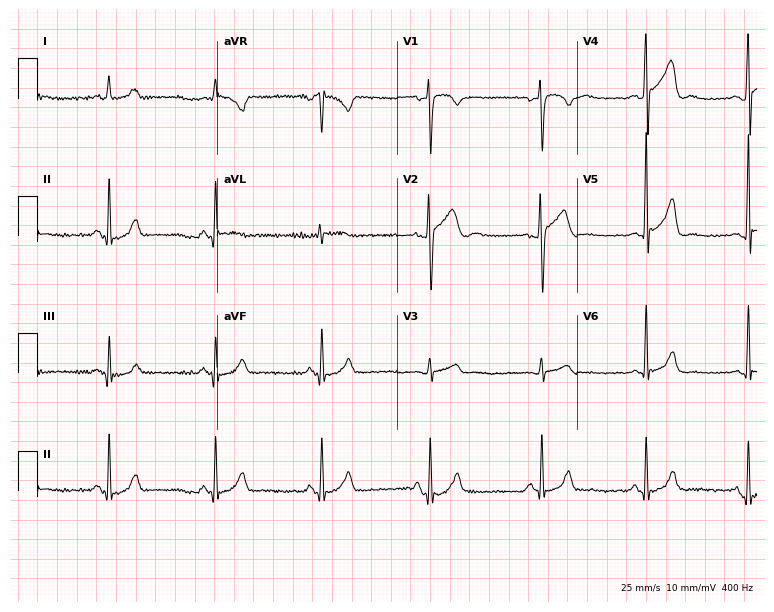
12-lead ECG (7.3-second recording at 400 Hz) from a 36-year-old male patient. Labelled as a normal ECG.